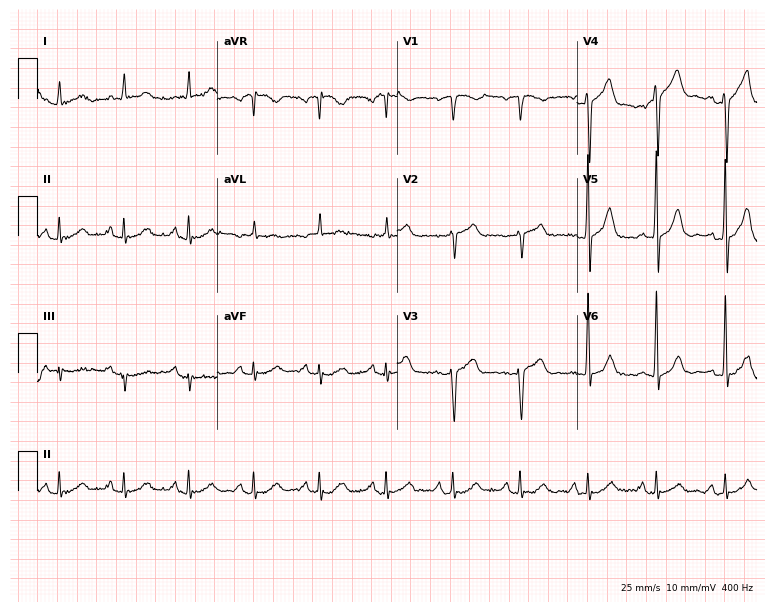
Electrocardiogram (7.3-second recording at 400 Hz), a man, 81 years old. Of the six screened findings (first-degree AV block, right bundle branch block, left bundle branch block, sinus bradycardia, atrial fibrillation, sinus tachycardia), none is recorded.